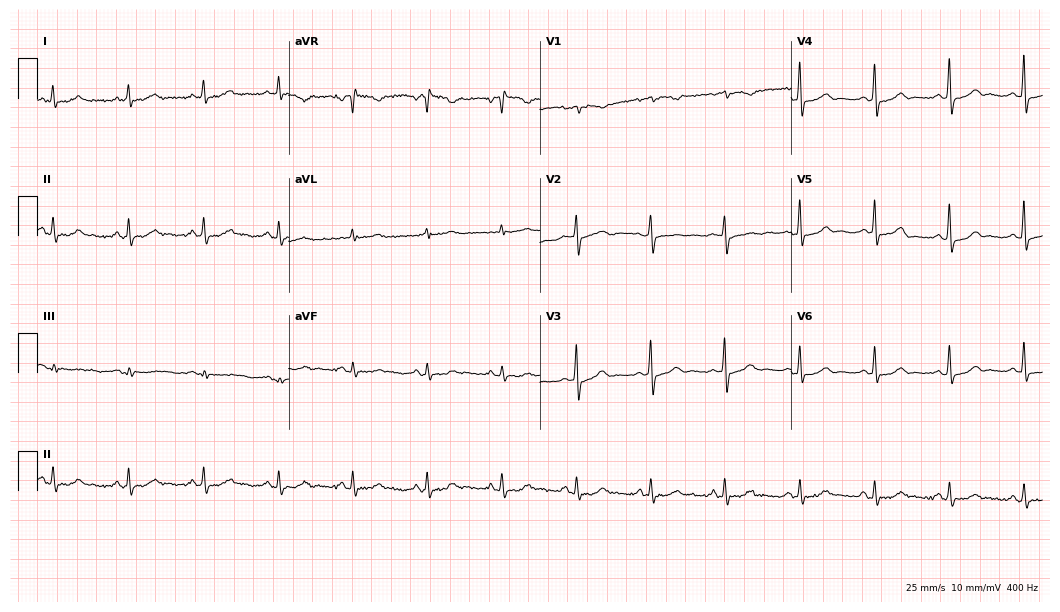
Standard 12-lead ECG recorded from a woman, 70 years old (10.2-second recording at 400 Hz). Read as a normal ECG.